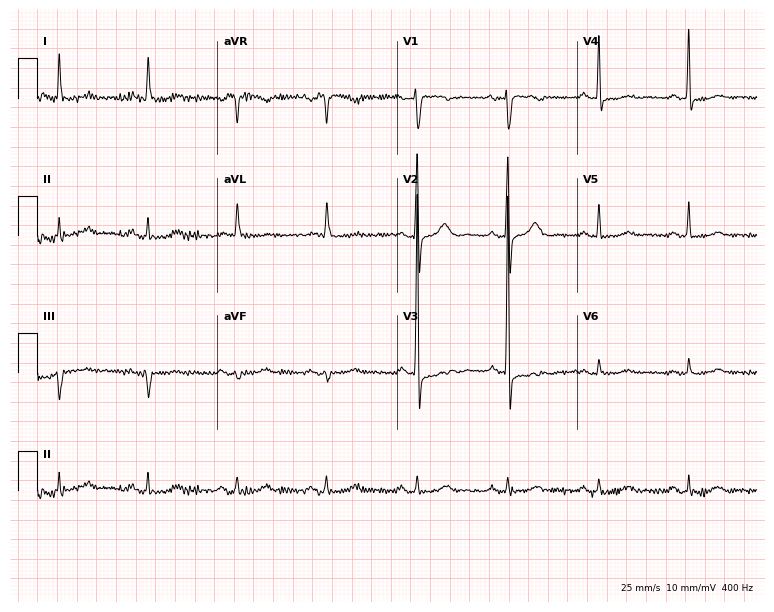
Resting 12-lead electrocardiogram. Patient: a woman, 77 years old. None of these six findings is recorded: first-degree AV block, right bundle branch block, left bundle branch block, sinus bradycardia, atrial fibrillation, sinus tachycardia. Other findings, if any, are not listed.